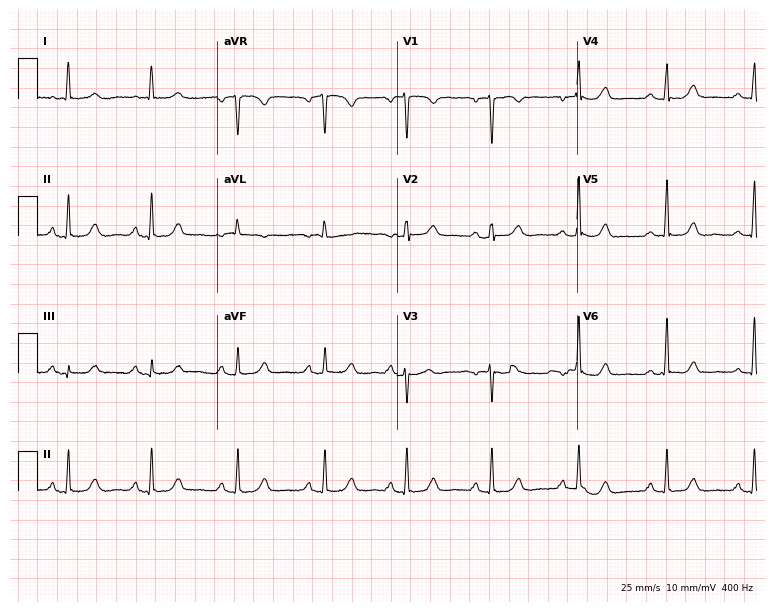
12-lead ECG from a 58-year-old woman (7.3-second recording at 400 Hz). Recorded interpretation: within normal limits.